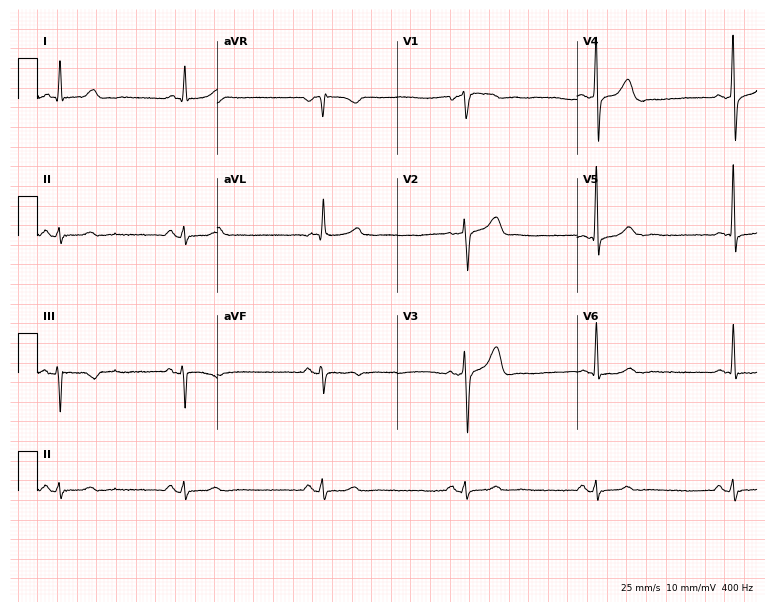
Standard 12-lead ECG recorded from a male patient, 64 years old. The tracing shows sinus bradycardia (a sinus rate of 50 beats per minute or less).